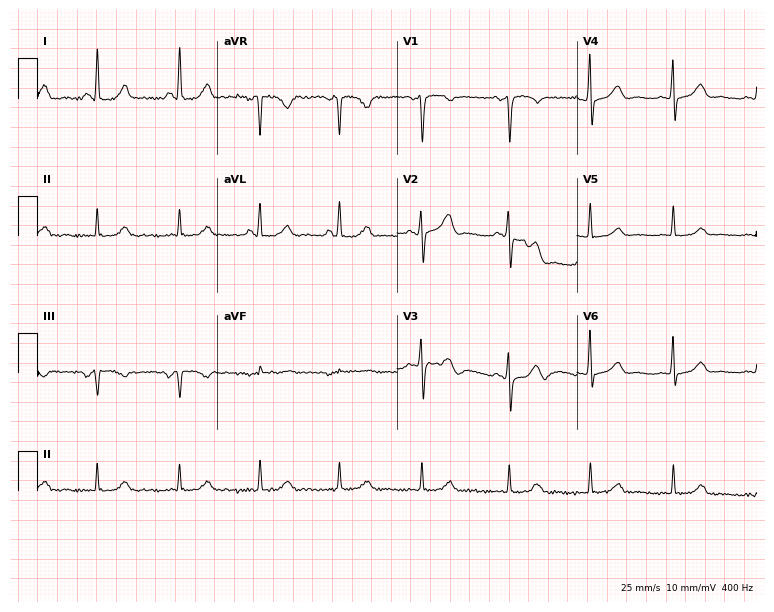
Standard 12-lead ECG recorded from a 48-year-old woman. None of these six findings is recorded: first-degree AV block, right bundle branch block (RBBB), left bundle branch block (LBBB), sinus bradycardia, atrial fibrillation (AF), sinus tachycardia. Only these six findings were labelled.